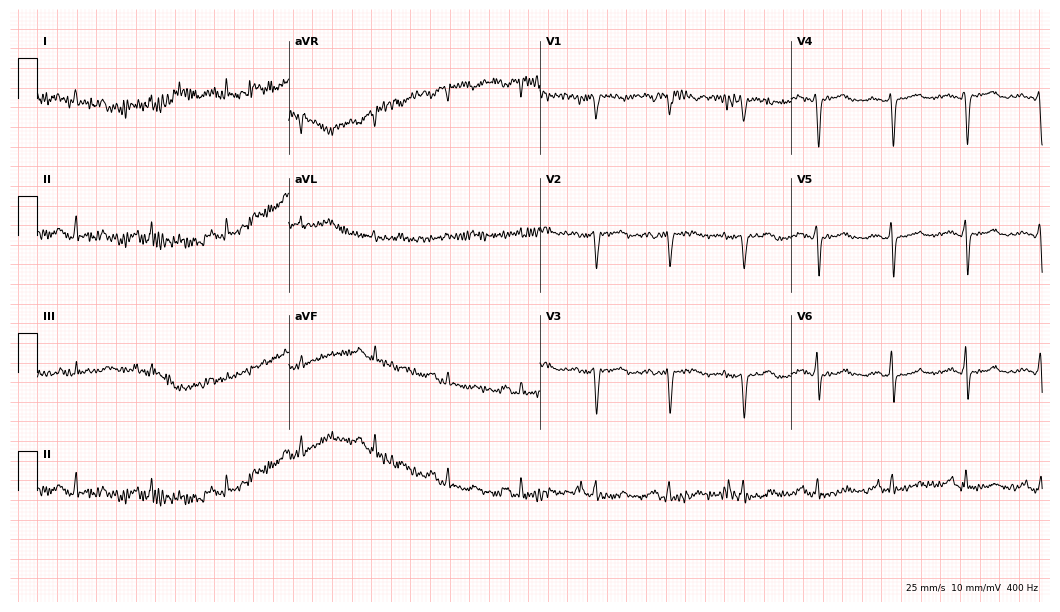
12-lead ECG from a female, 53 years old. No first-degree AV block, right bundle branch block, left bundle branch block, sinus bradycardia, atrial fibrillation or sinus tachycardia recorded for this tracing.